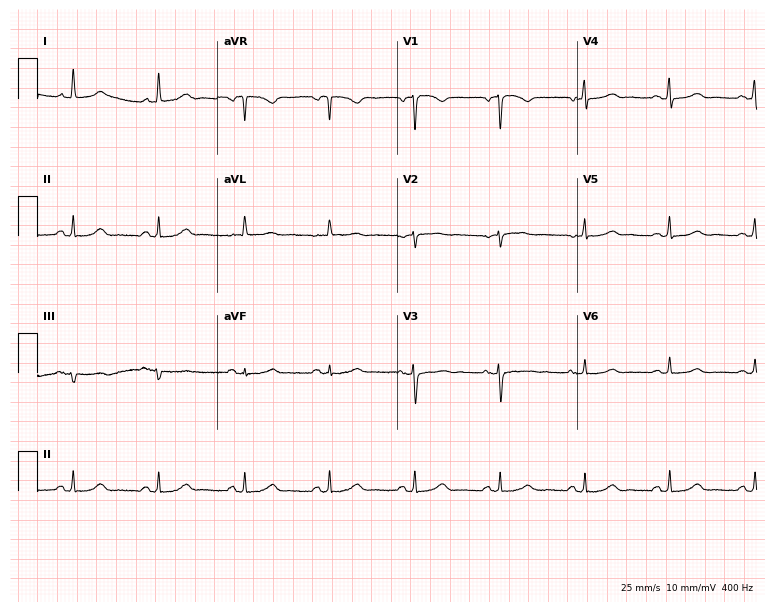
12-lead ECG from a female, 58 years old. No first-degree AV block, right bundle branch block (RBBB), left bundle branch block (LBBB), sinus bradycardia, atrial fibrillation (AF) or sinus tachycardia recorded for this tracing.